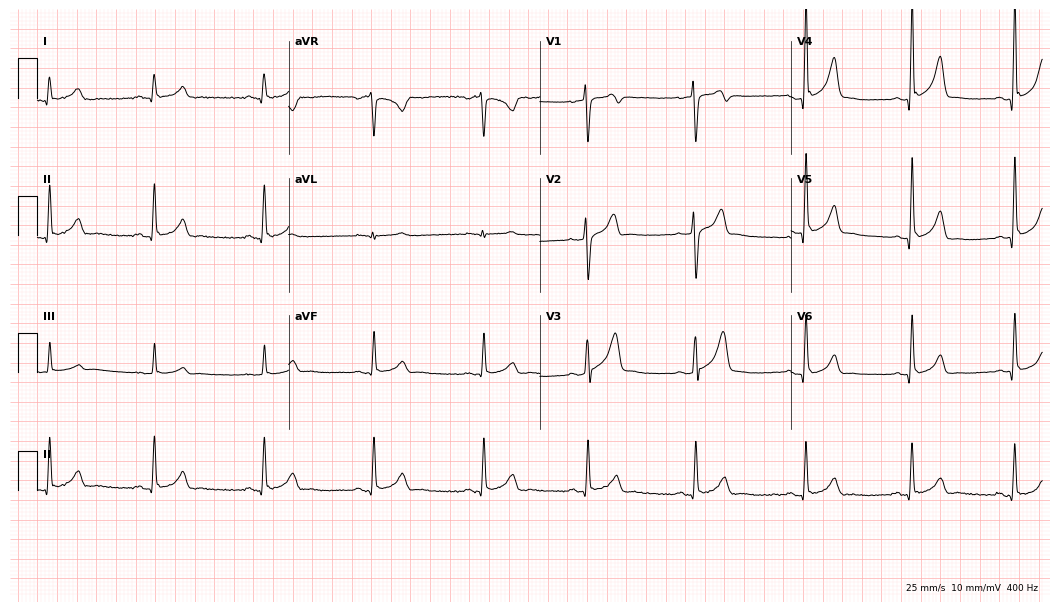
Electrocardiogram (10.2-second recording at 400 Hz), a male, 27 years old. Overall reading on record: normal ECG.